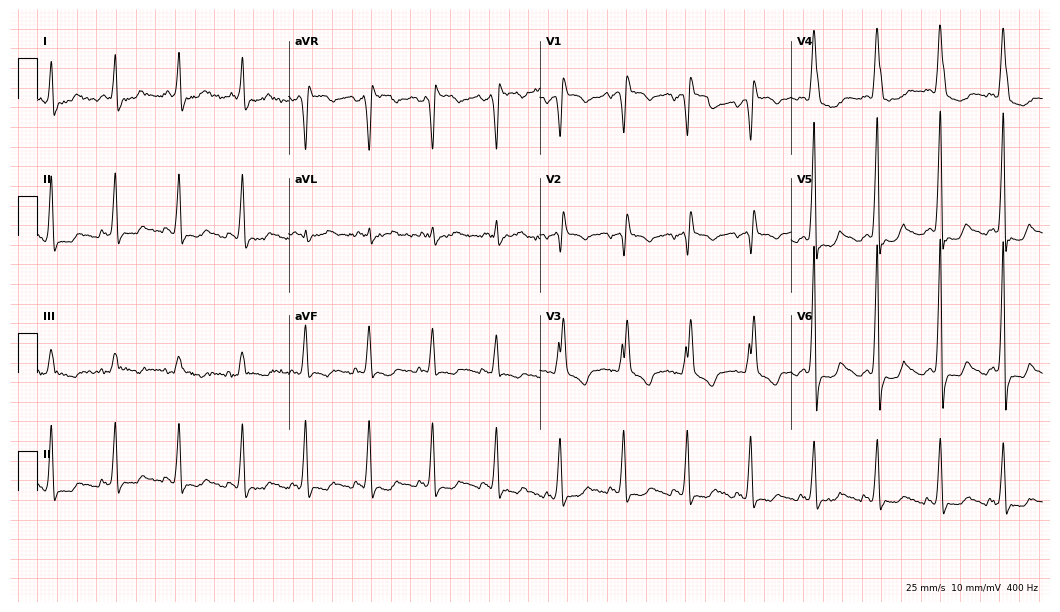
Resting 12-lead electrocardiogram (10.2-second recording at 400 Hz). Patient: a 68-year-old woman. The tracing shows right bundle branch block (RBBB).